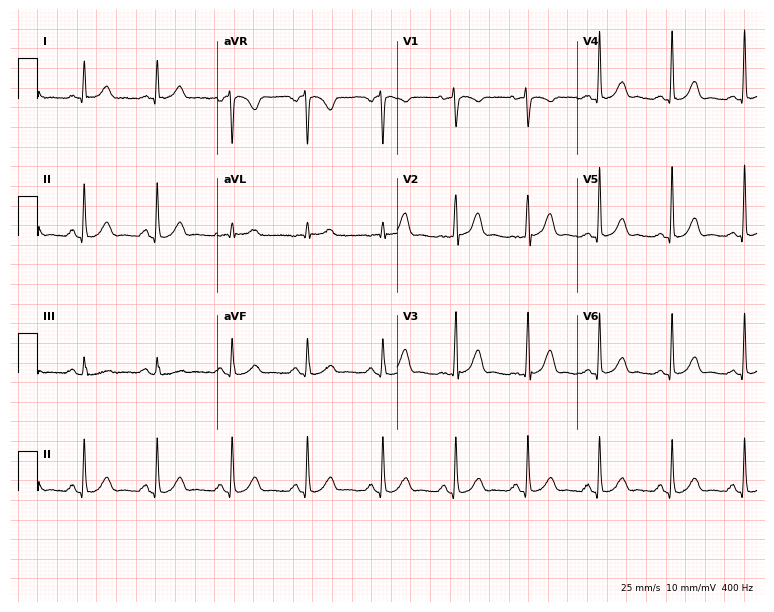
Resting 12-lead electrocardiogram. Patient: a 50-year-old woman. Read as a normal ECG.